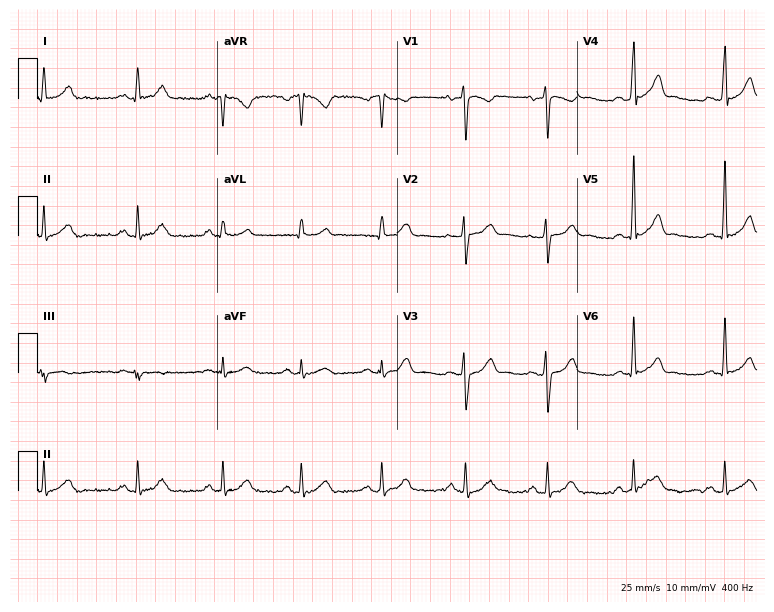
Electrocardiogram, a woman, 46 years old. Overall reading on record: normal ECG.